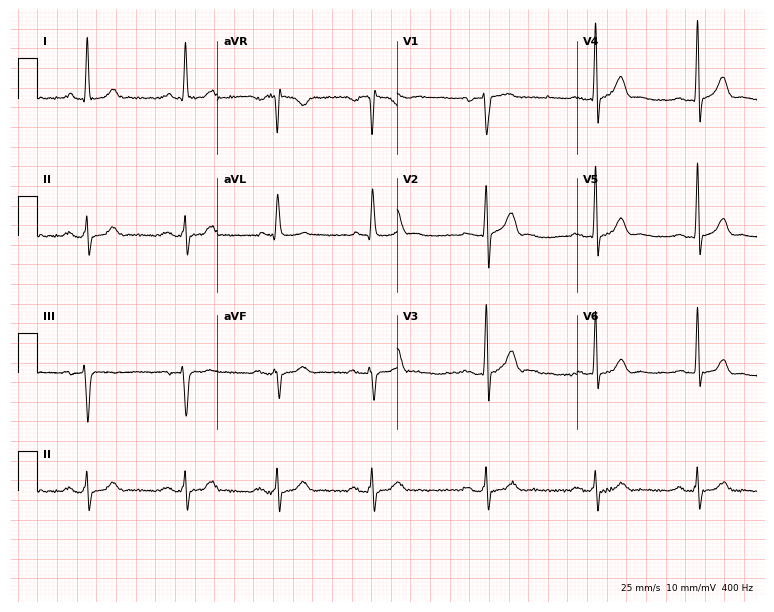
Electrocardiogram, a male, 47 years old. Of the six screened findings (first-degree AV block, right bundle branch block (RBBB), left bundle branch block (LBBB), sinus bradycardia, atrial fibrillation (AF), sinus tachycardia), none is recorded. Only these six findings were labelled.